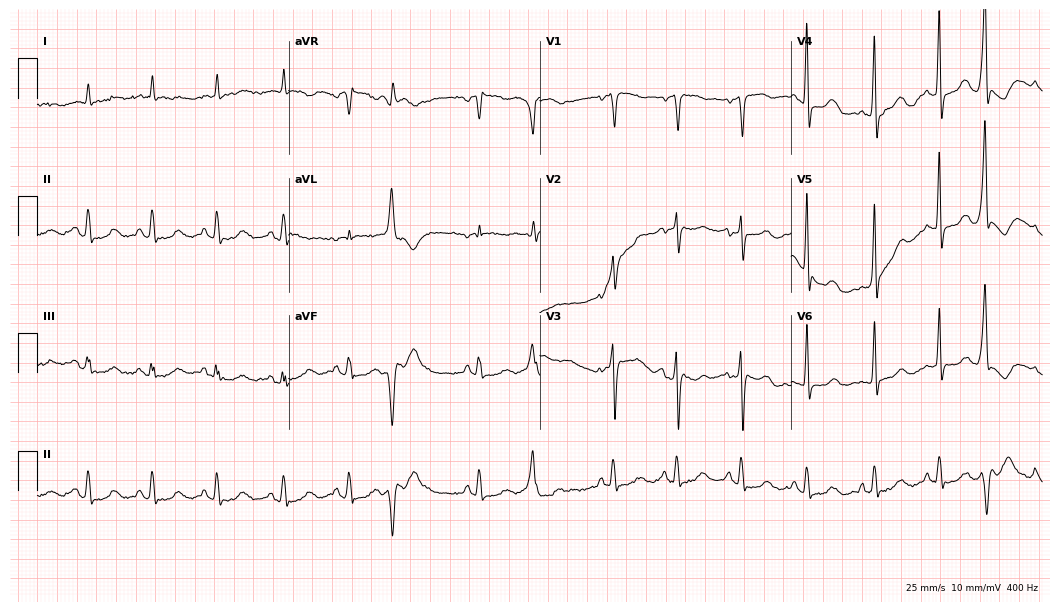
Electrocardiogram, a 76-year-old female. Of the six screened findings (first-degree AV block, right bundle branch block (RBBB), left bundle branch block (LBBB), sinus bradycardia, atrial fibrillation (AF), sinus tachycardia), none is recorded. Findings outside these six are not listed.